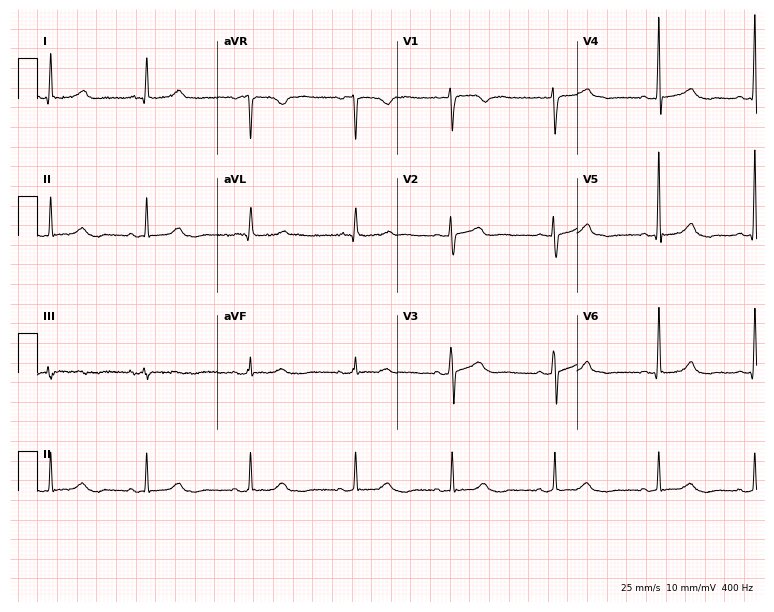
12-lead ECG from a 54-year-old female patient. Screened for six findings — first-degree AV block, right bundle branch block (RBBB), left bundle branch block (LBBB), sinus bradycardia, atrial fibrillation (AF), sinus tachycardia — none is recorded.